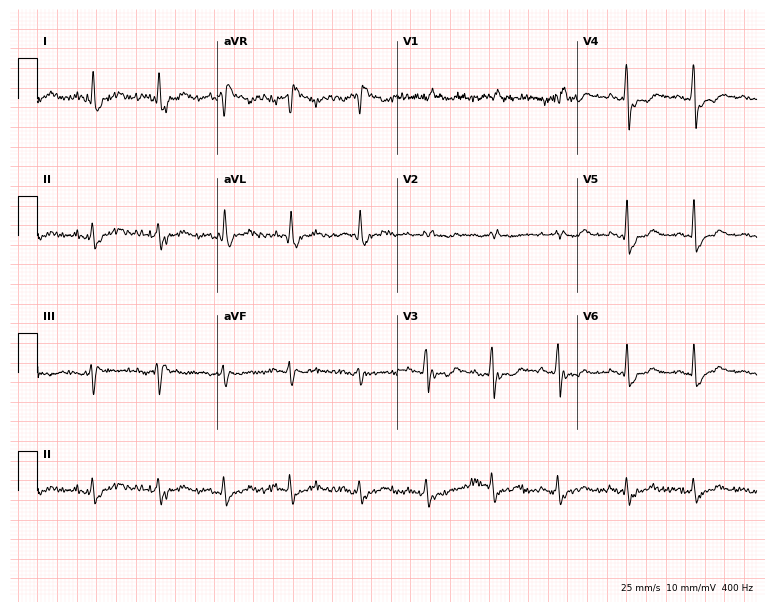
12-lead ECG (7.3-second recording at 400 Hz) from a 77-year-old male. Screened for six findings — first-degree AV block, right bundle branch block, left bundle branch block, sinus bradycardia, atrial fibrillation, sinus tachycardia — none is recorded. Only these six findings were labelled.